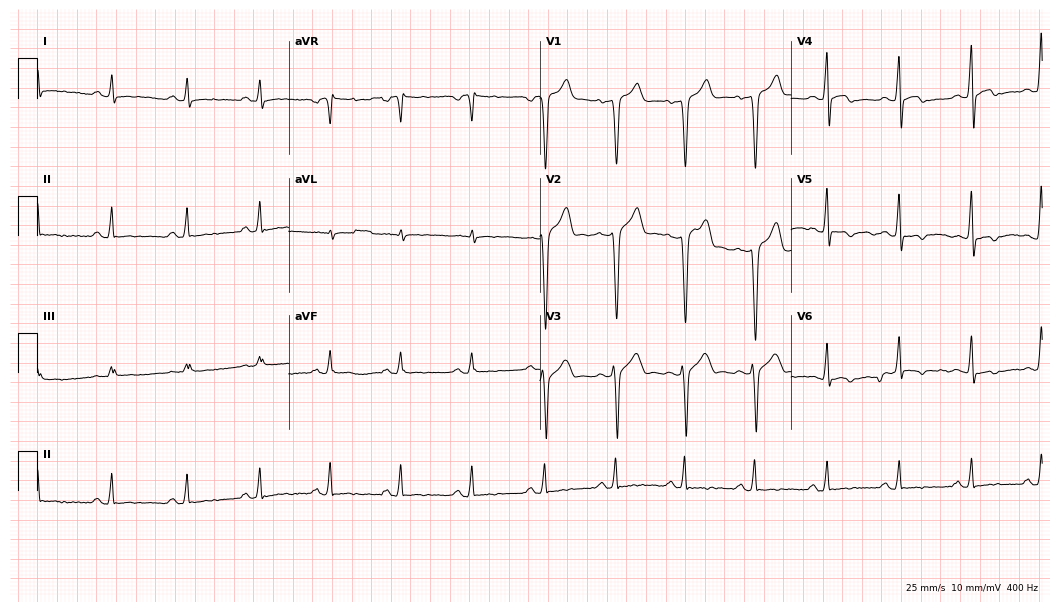
ECG (10.2-second recording at 400 Hz) — a man, 38 years old. Screened for six findings — first-degree AV block, right bundle branch block, left bundle branch block, sinus bradycardia, atrial fibrillation, sinus tachycardia — none is recorded. Only these six findings were labelled.